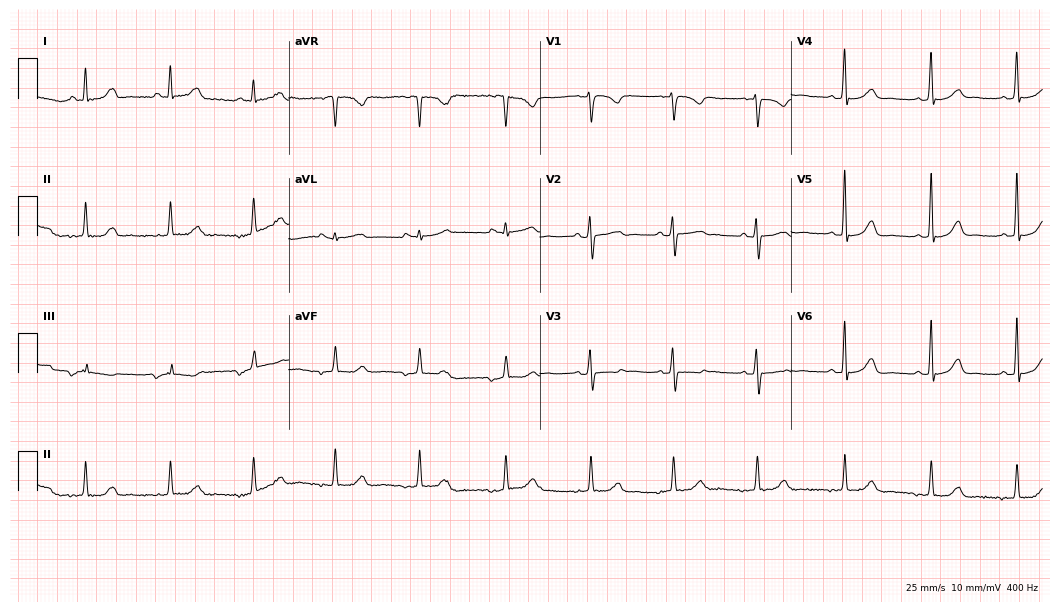
ECG — a woman, 40 years old. Screened for six findings — first-degree AV block, right bundle branch block, left bundle branch block, sinus bradycardia, atrial fibrillation, sinus tachycardia — none is recorded.